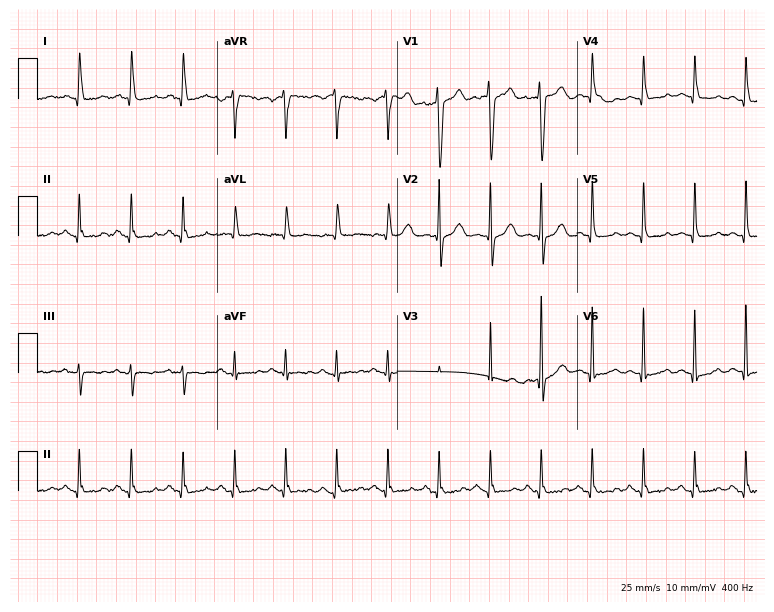
Electrocardiogram, a 51-year-old man. Interpretation includes sinus tachycardia (a sinus rate of 100 beats per minute or more).